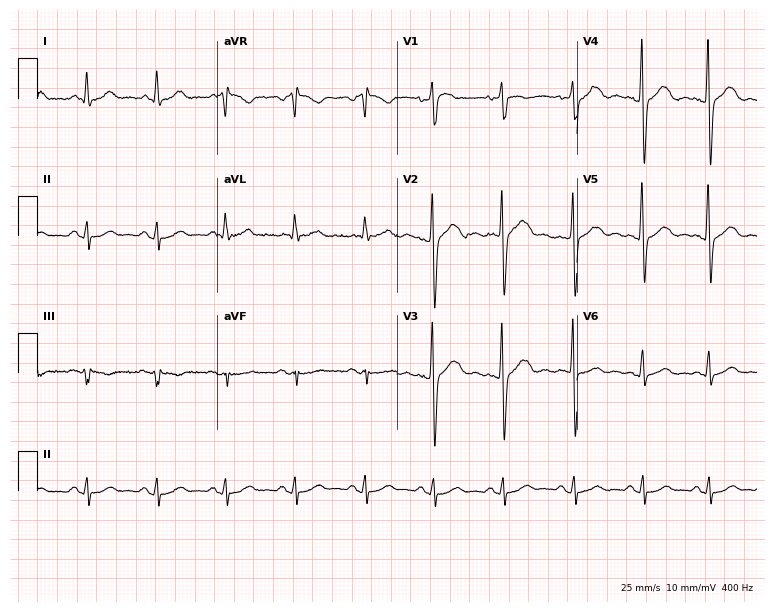
Electrocardiogram, a male, 60 years old. Of the six screened findings (first-degree AV block, right bundle branch block (RBBB), left bundle branch block (LBBB), sinus bradycardia, atrial fibrillation (AF), sinus tachycardia), none is recorded.